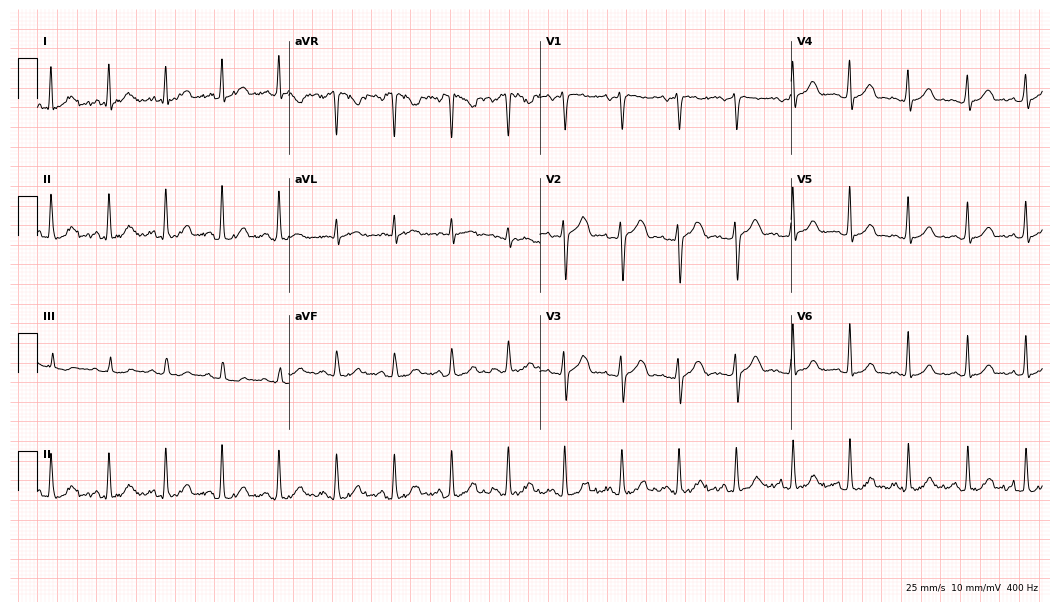
ECG — a female patient, 40 years old. Findings include sinus tachycardia (a sinus rate of 100 beats per minute or more).